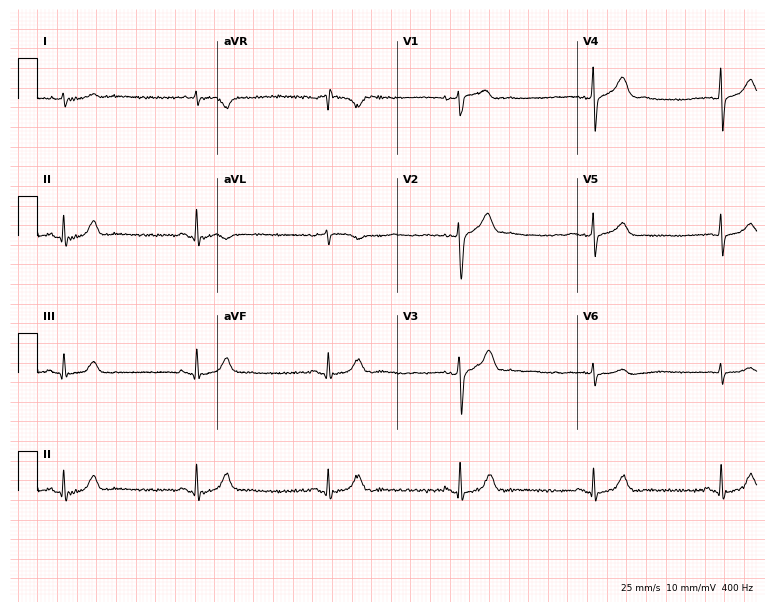
12-lead ECG from a male patient, 67 years old. No first-degree AV block, right bundle branch block, left bundle branch block, sinus bradycardia, atrial fibrillation or sinus tachycardia recorded for this tracing. Findings outside these six are not listed.